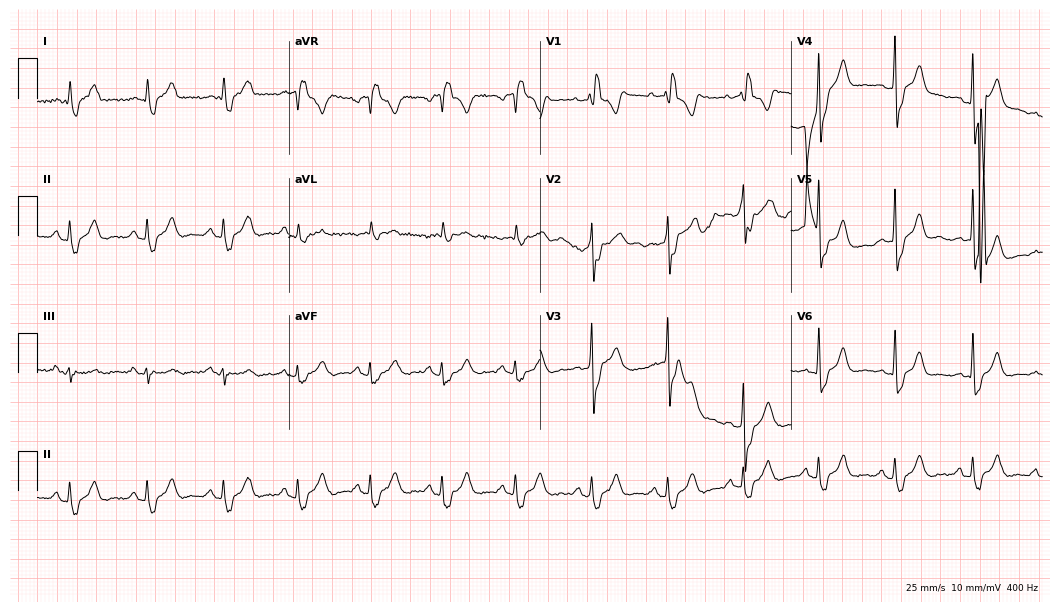
Standard 12-lead ECG recorded from a male patient, 53 years old. None of these six findings is recorded: first-degree AV block, right bundle branch block (RBBB), left bundle branch block (LBBB), sinus bradycardia, atrial fibrillation (AF), sinus tachycardia.